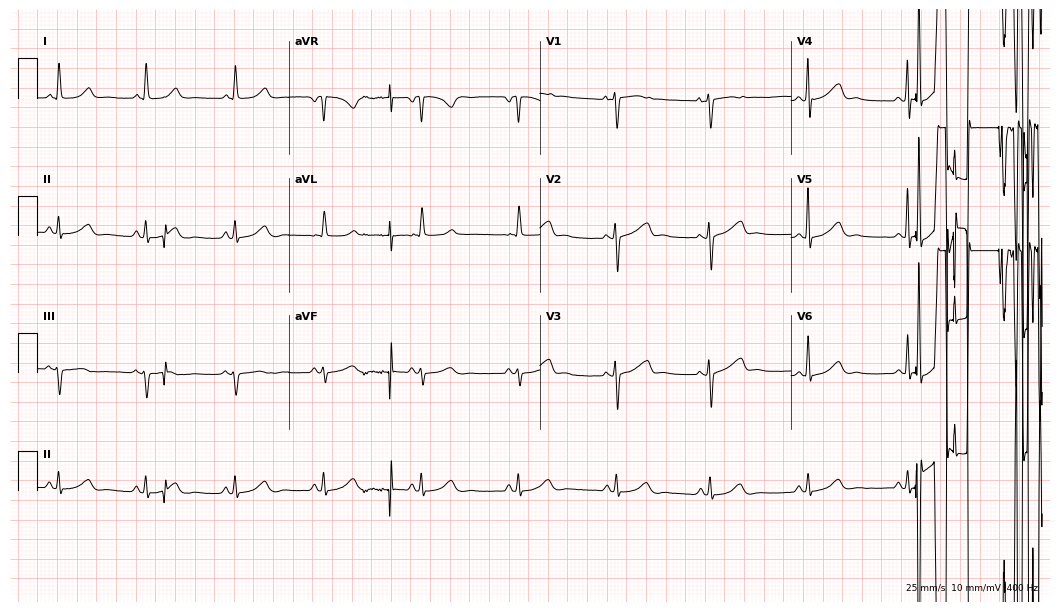
Electrocardiogram (10.2-second recording at 400 Hz), a 50-year-old female. Of the six screened findings (first-degree AV block, right bundle branch block, left bundle branch block, sinus bradycardia, atrial fibrillation, sinus tachycardia), none is recorded. Findings outside these six are not listed.